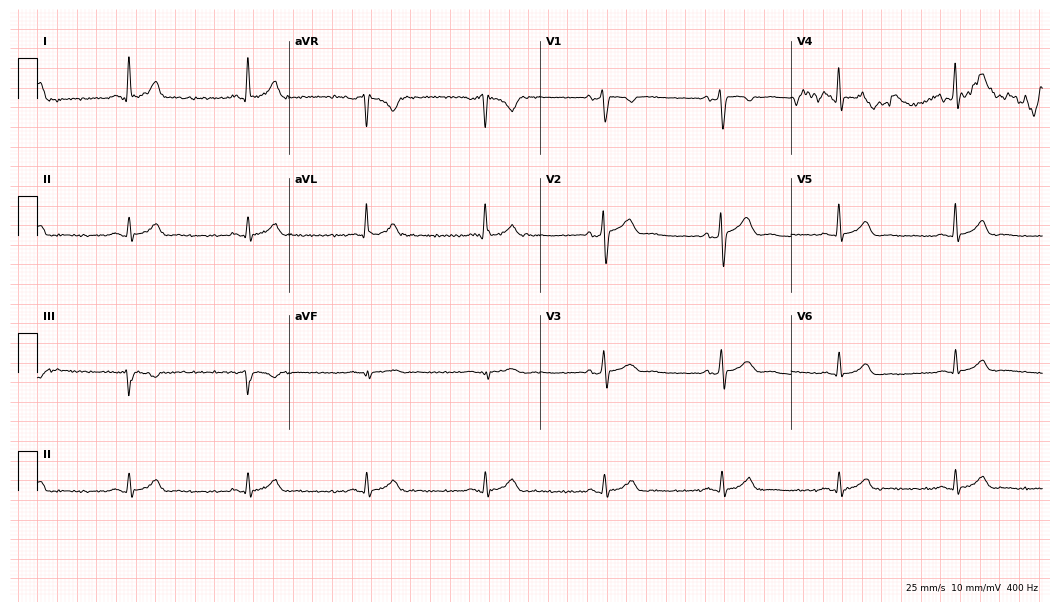
12-lead ECG from a 58-year-old woman (10.2-second recording at 400 Hz). No first-degree AV block, right bundle branch block (RBBB), left bundle branch block (LBBB), sinus bradycardia, atrial fibrillation (AF) or sinus tachycardia recorded for this tracing. Only these six findings were labelled.